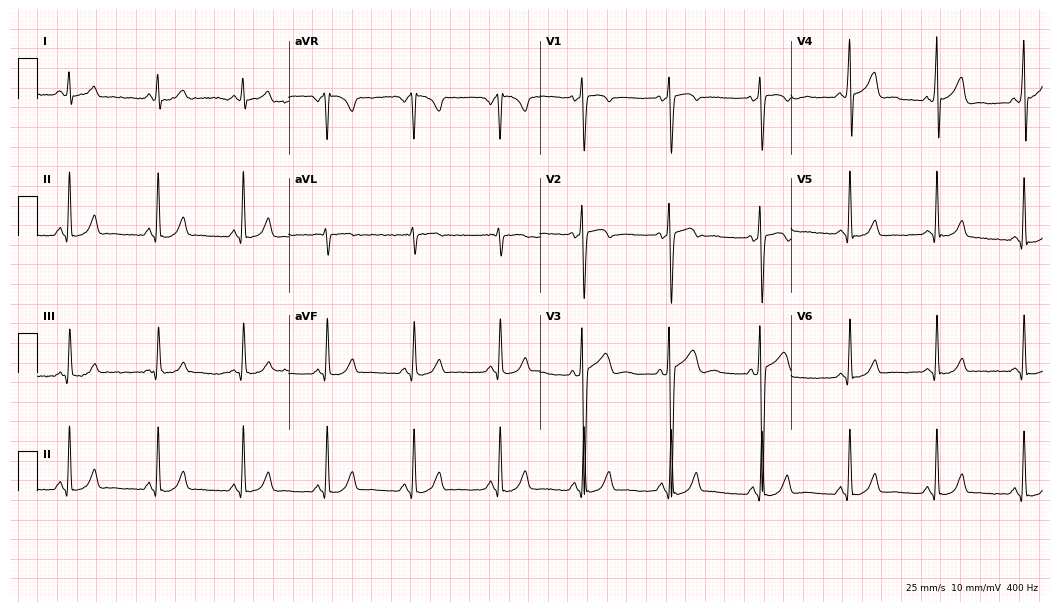
Electrocardiogram, a 25-year-old male. Of the six screened findings (first-degree AV block, right bundle branch block, left bundle branch block, sinus bradycardia, atrial fibrillation, sinus tachycardia), none is recorded.